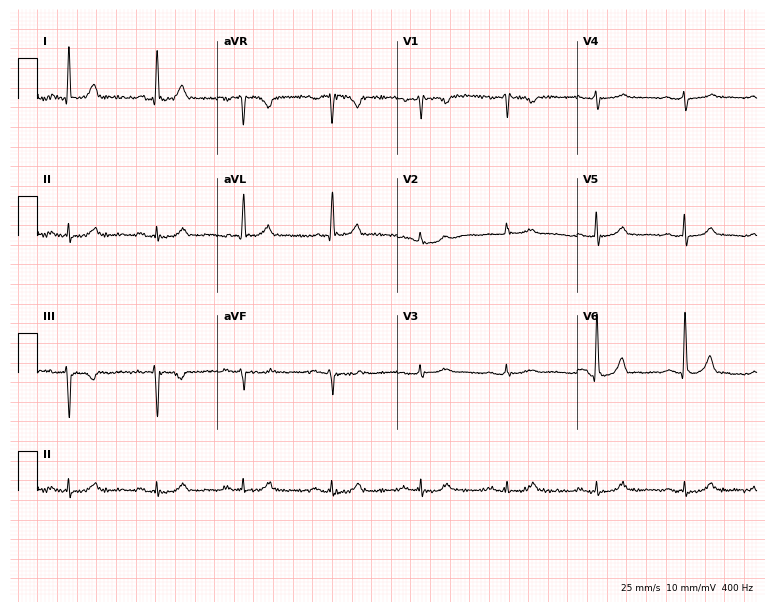
Resting 12-lead electrocardiogram. Patient: a 66-year-old female. Read as a normal ECG.